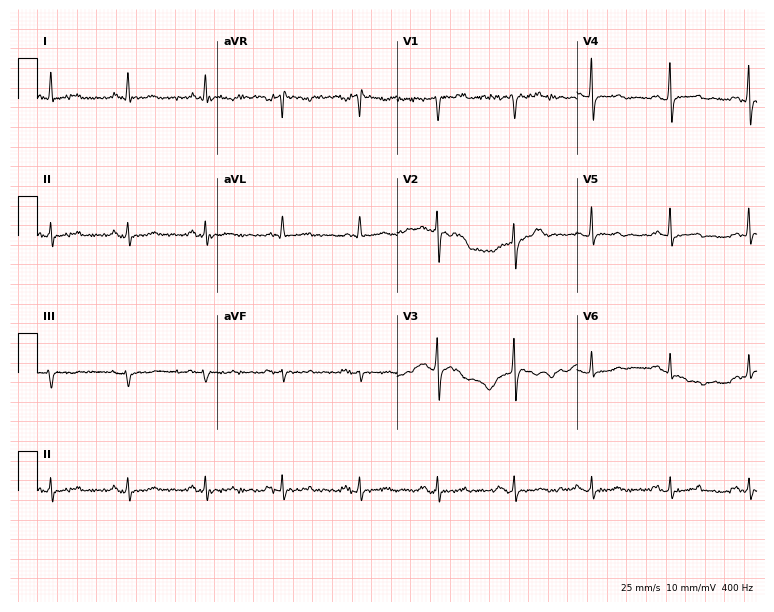
12-lead ECG from a male, 69 years old (7.3-second recording at 400 Hz). Recorded interpretation: within normal limits.